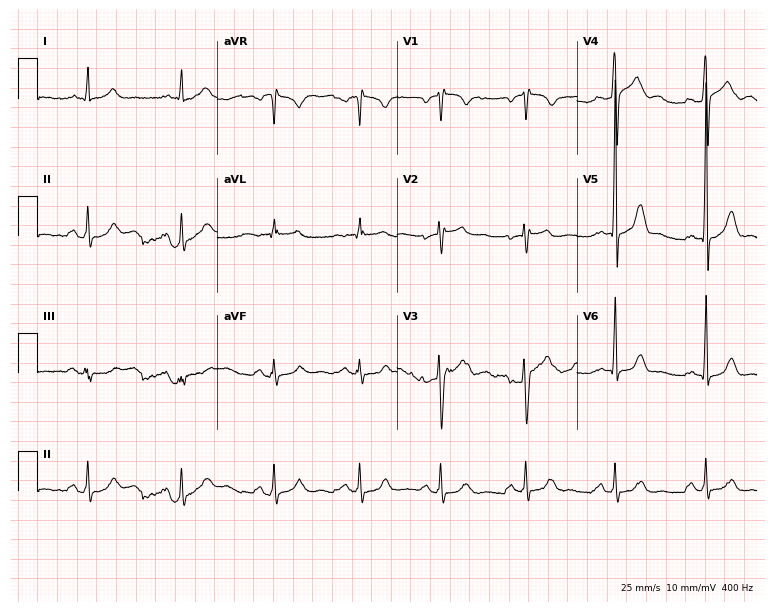
Standard 12-lead ECG recorded from a 43-year-old man. None of these six findings is recorded: first-degree AV block, right bundle branch block, left bundle branch block, sinus bradycardia, atrial fibrillation, sinus tachycardia.